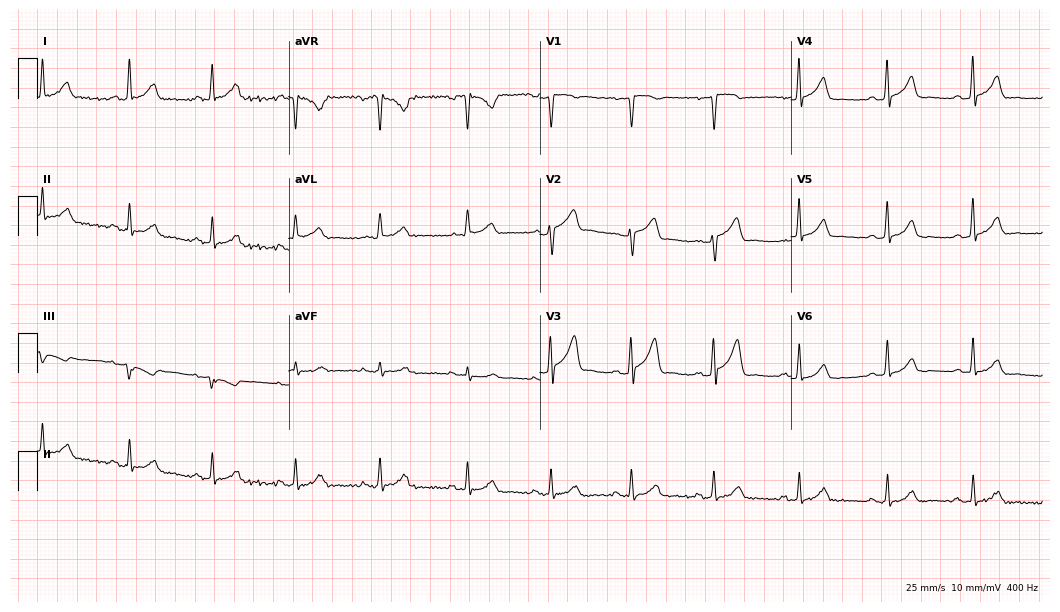
12-lead ECG (10.2-second recording at 400 Hz) from a 55-year-old male. Labelled as a normal ECG.